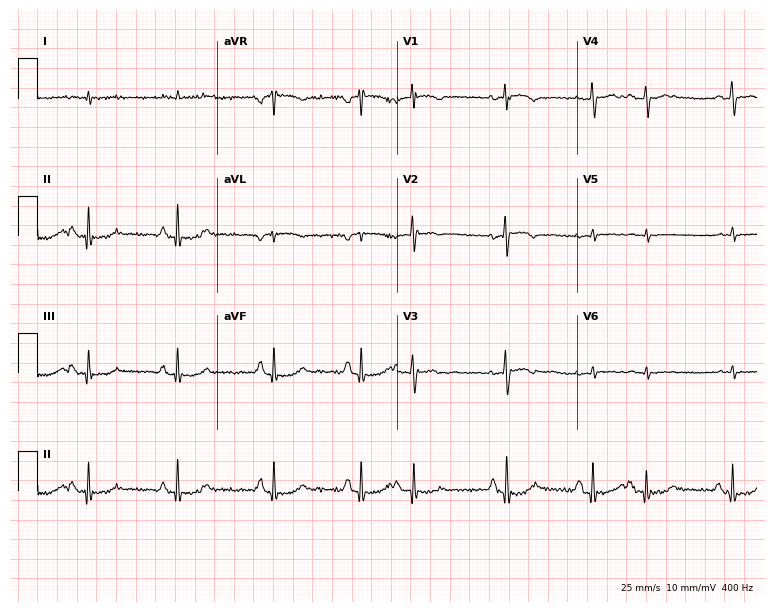
Electrocardiogram, an 83-year-old man. Of the six screened findings (first-degree AV block, right bundle branch block (RBBB), left bundle branch block (LBBB), sinus bradycardia, atrial fibrillation (AF), sinus tachycardia), none is recorded. Only these six findings were labelled.